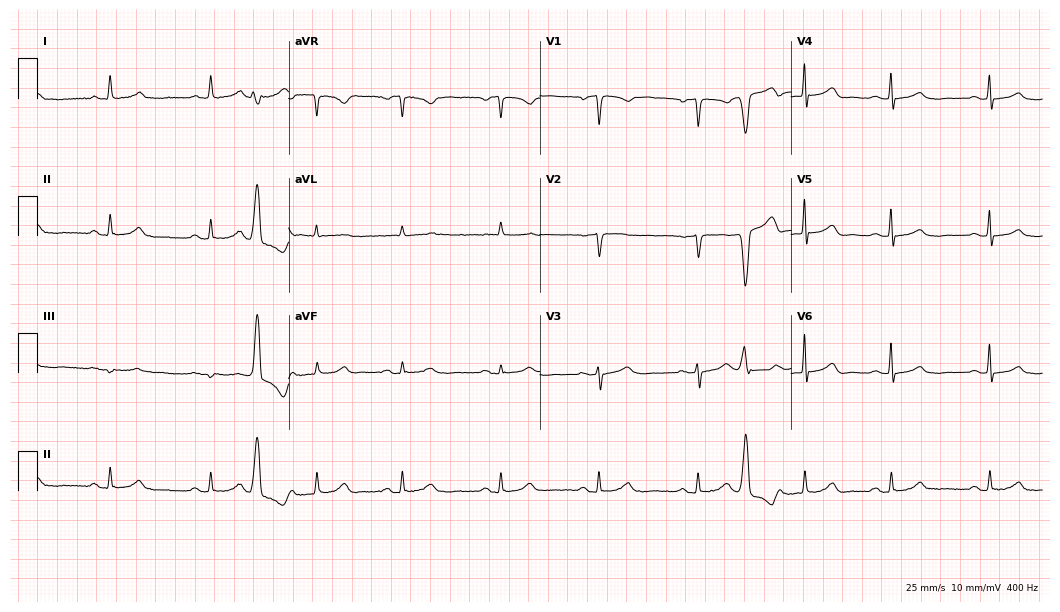
12-lead ECG (10.2-second recording at 400 Hz) from a 69-year-old woman. Labelled as a normal ECG.